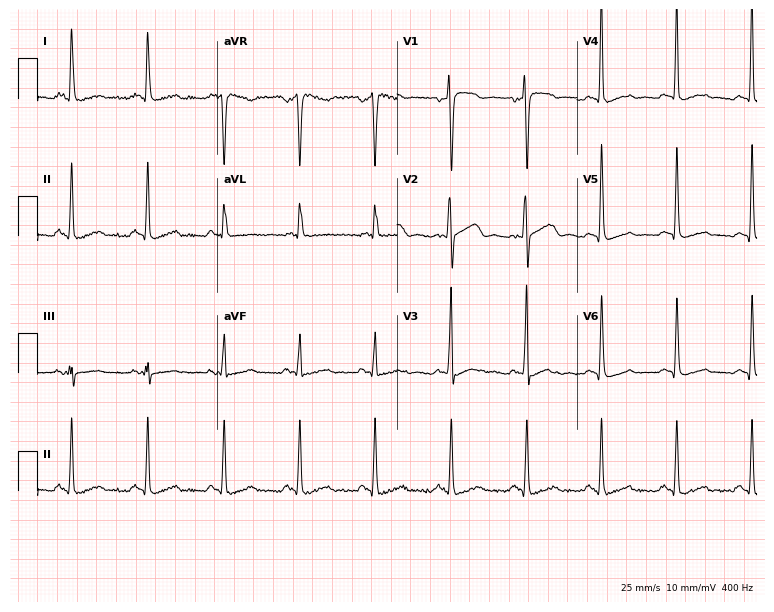
12-lead ECG from a woman, 39 years old (7.3-second recording at 400 Hz). Recorded interpretation: within normal limits.